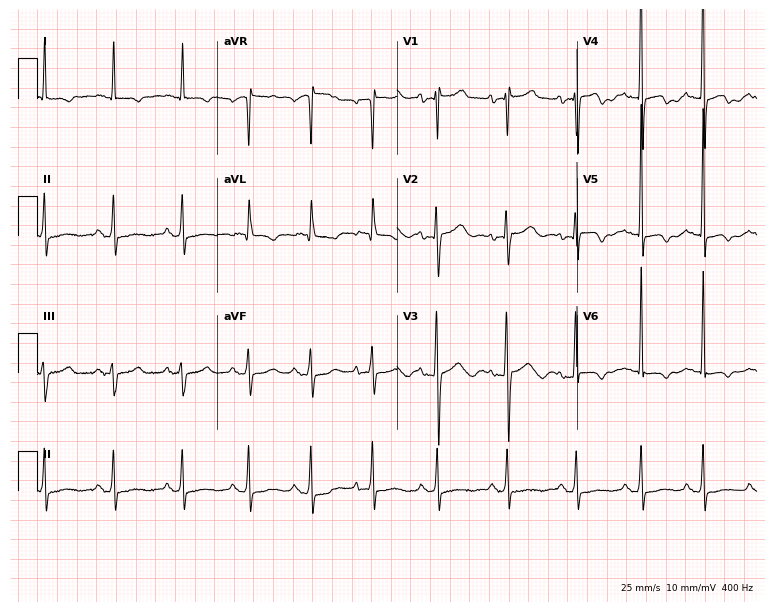
12-lead ECG from a male, 62 years old. Screened for six findings — first-degree AV block, right bundle branch block, left bundle branch block, sinus bradycardia, atrial fibrillation, sinus tachycardia — none is recorded. Only these six findings were labelled.